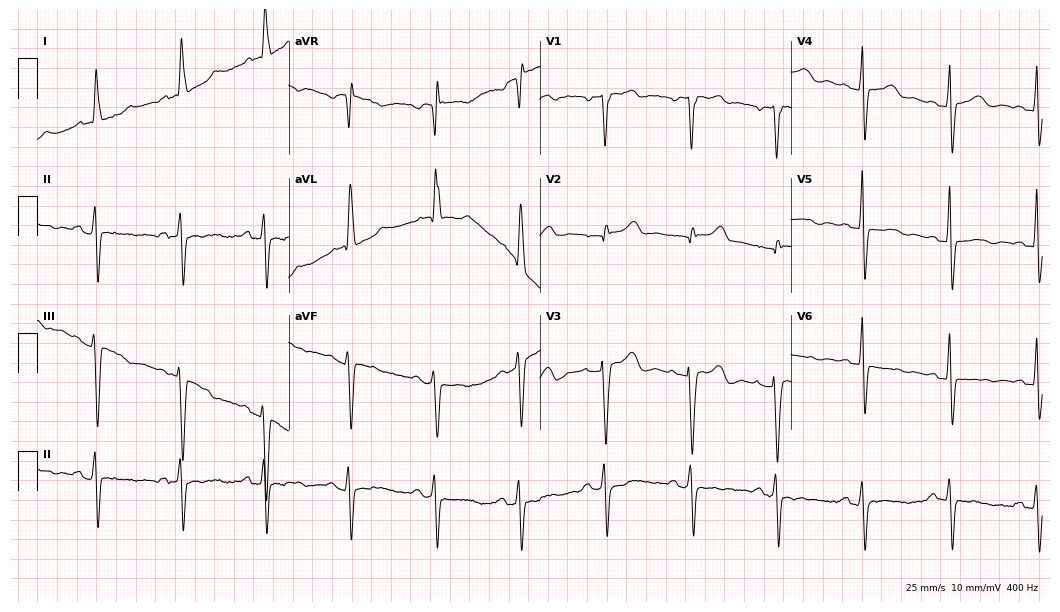
ECG — an 86-year-old female patient. Screened for six findings — first-degree AV block, right bundle branch block, left bundle branch block, sinus bradycardia, atrial fibrillation, sinus tachycardia — none is recorded.